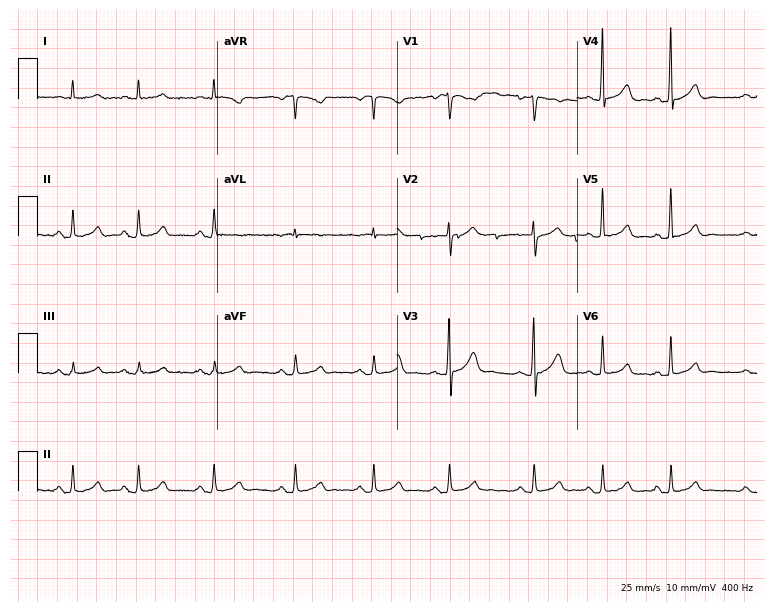
ECG (7.3-second recording at 400 Hz) — an 80-year-old man. Labelled as a normal ECG.